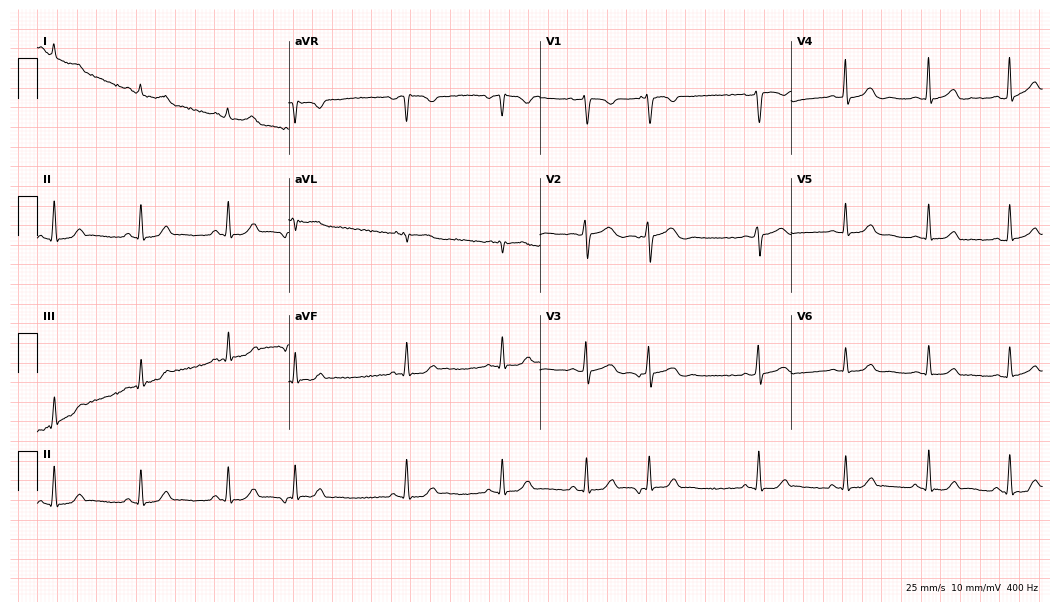
12-lead ECG from a 46-year-old female patient (10.2-second recording at 400 Hz). Recorded interpretation: within normal limits.